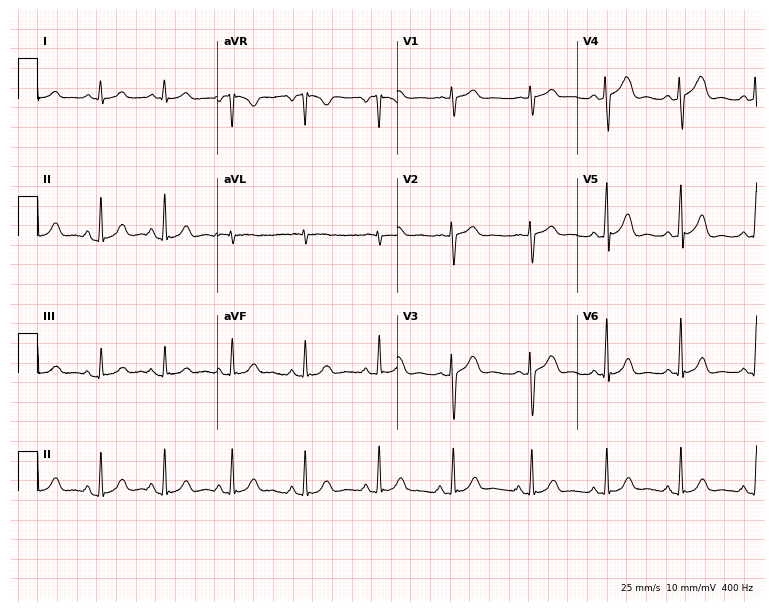
Resting 12-lead electrocardiogram (7.3-second recording at 400 Hz). Patient: a female, 37 years old. Read as a normal ECG.